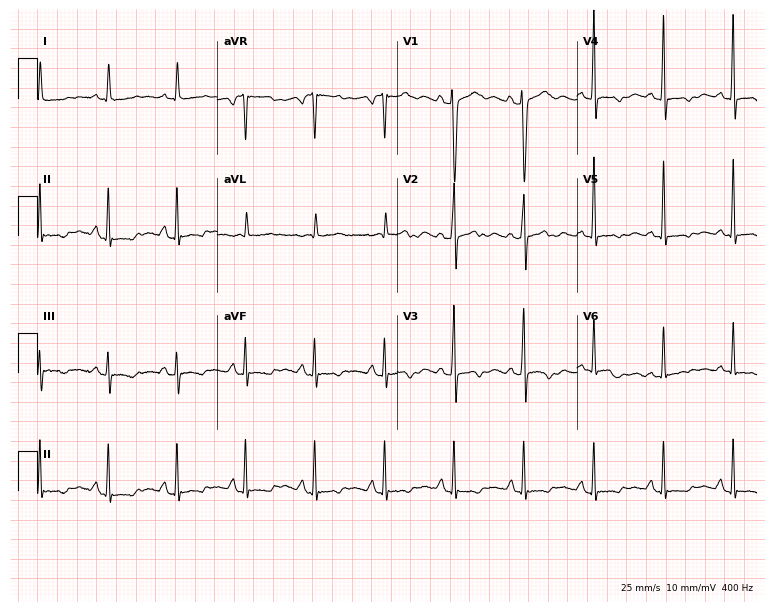
Standard 12-lead ECG recorded from an 82-year-old woman (7.3-second recording at 400 Hz). None of these six findings is recorded: first-degree AV block, right bundle branch block, left bundle branch block, sinus bradycardia, atrial fibrillation, sinus tachycardia.